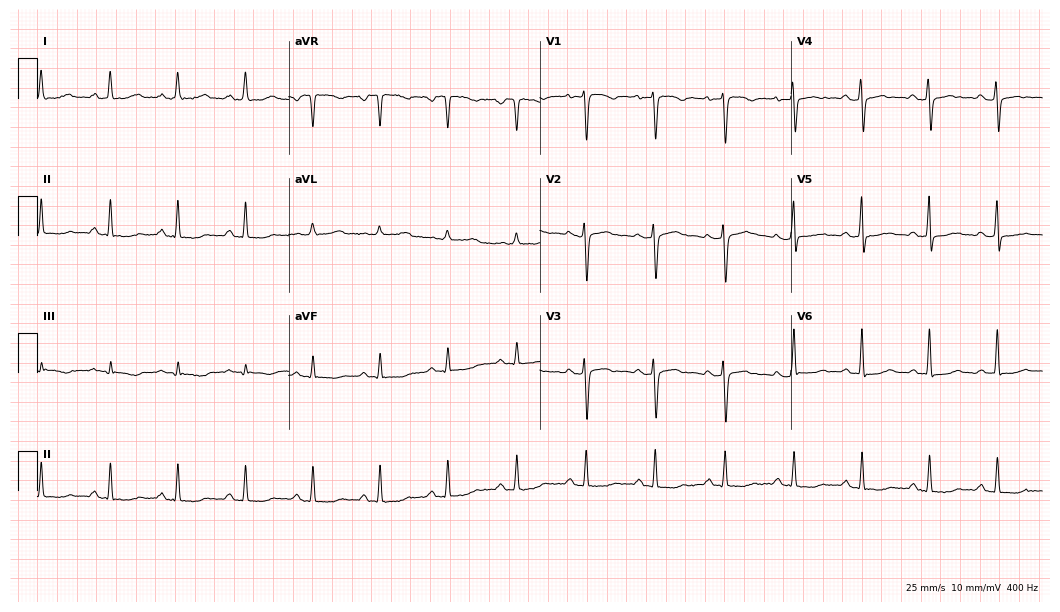
ECG (10.2-second recording at 400 Hz) — a 42-year-old female patient. Screened for six findings — first-degree AV block, right bundle branch block (RBBB), left bundle branch block (LBBB), sinus bradycardia, atrial fibrillation (AF), sinus tachycardia — none is recorded.